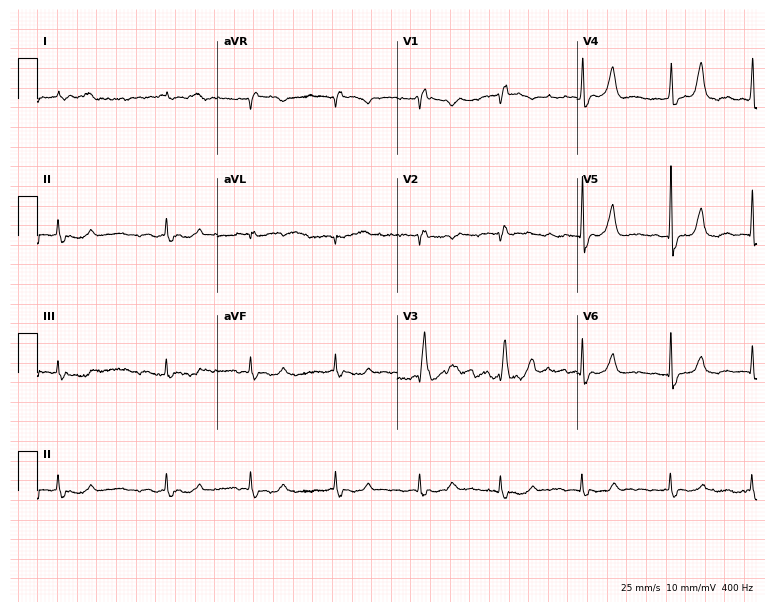
12-lead ECG (7.3-second recording at 400 Hz) from a female patient, 74 years old. Findings include atrial fibrillation.